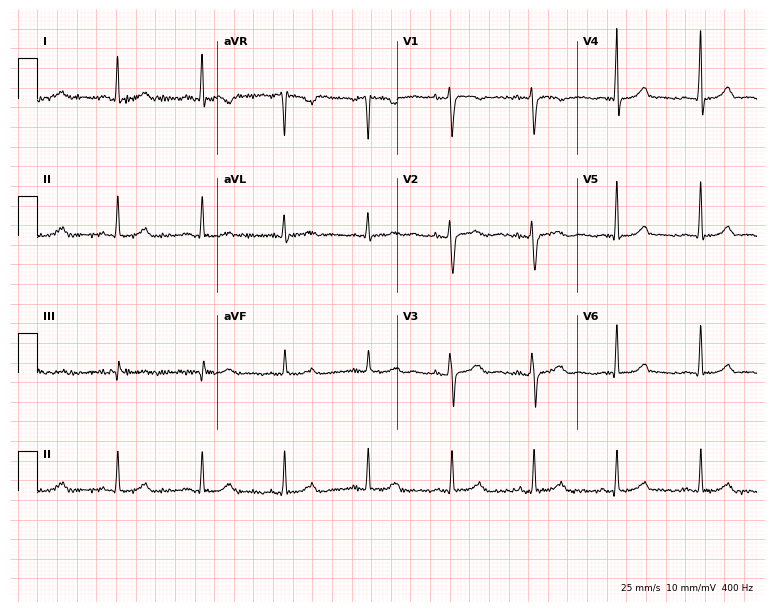
Electrocardiogram (7.3-second recording at 400 Hz), a 39-year-old female patient. Overall reading on record: normal ECG.